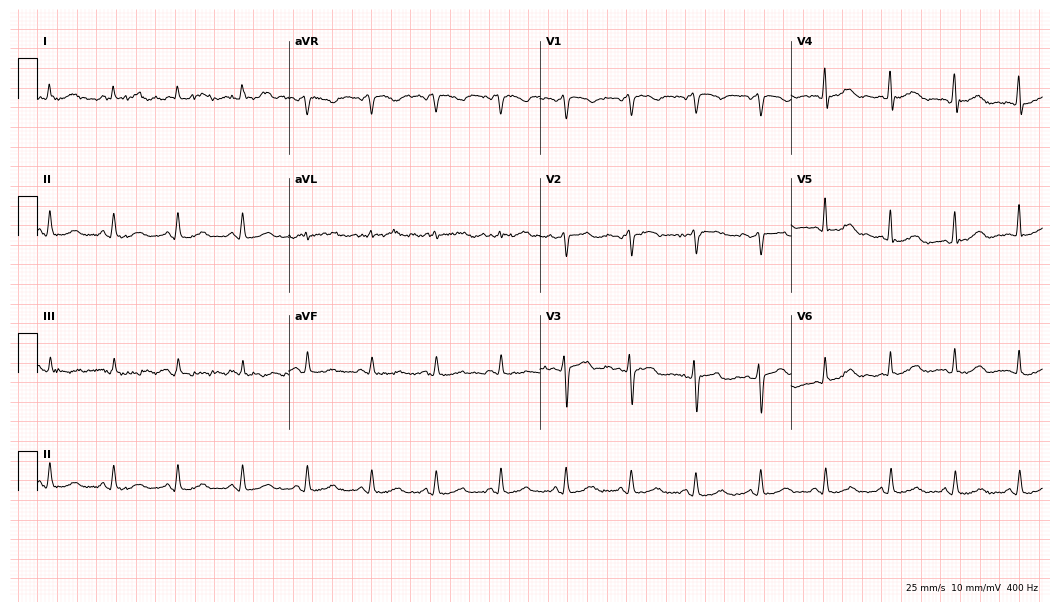
Resting 12-lead electrocardiogram. Patient: a 58-year-old male. Read as a normal ECG.